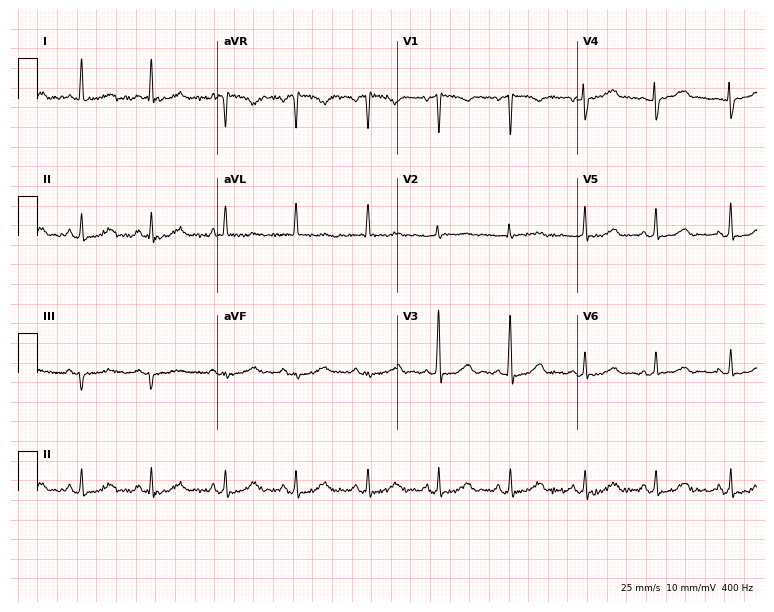
Electrocardiogram (7.3-second recording at 400 Hz), a female patient, 50 years old. Overall reading on record: normal ECG.